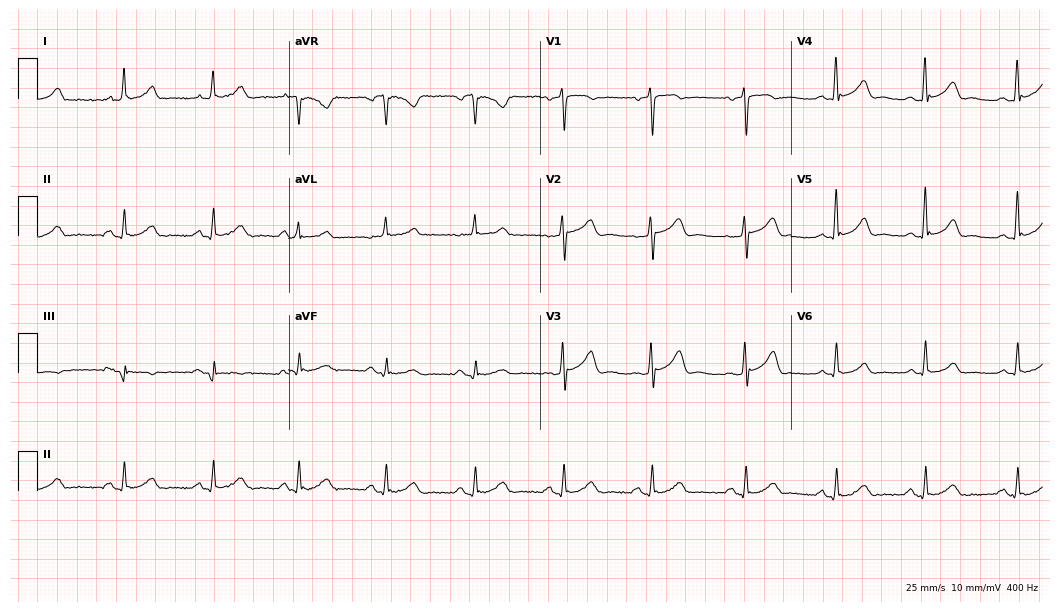
Standard 12-lead ECG recorded from a female, 52 years old (10.2-second recording at 400 Hz). None of these six findings is recorded: first-degree AV block, right bundle branch block, left bundle branch block, sinus bradycardia, atrial fibrillation, sinus tachycardia.